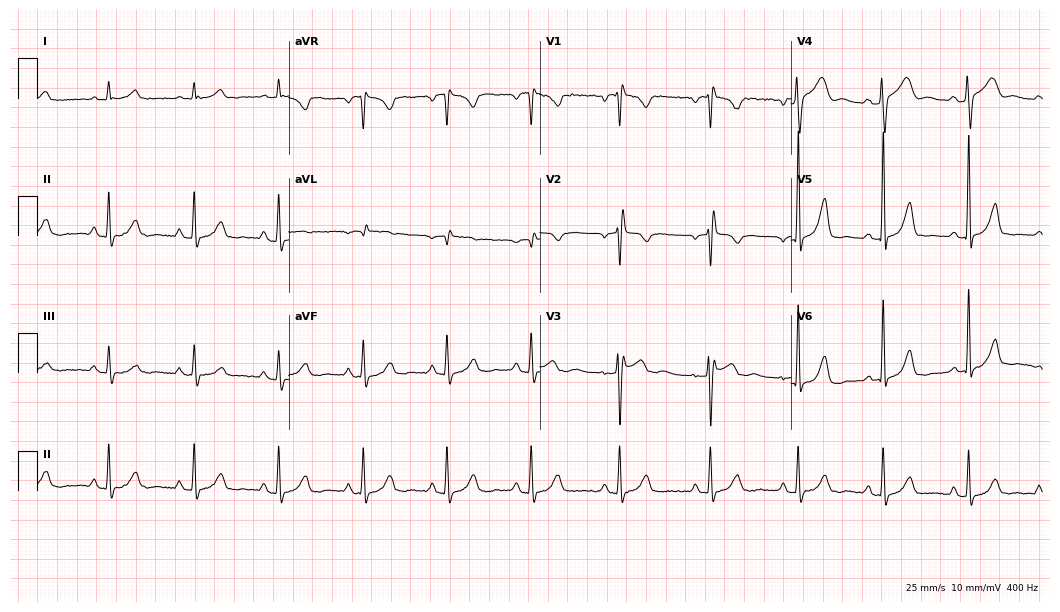
Electrocardiogram, a female patient, 56 years old. Of the six screened findings (first-degree AV block, right bundle branch block, left bundle branch block, sinus bradycardia, atrial fibrillation, sinus tachycardia), none is recorded.